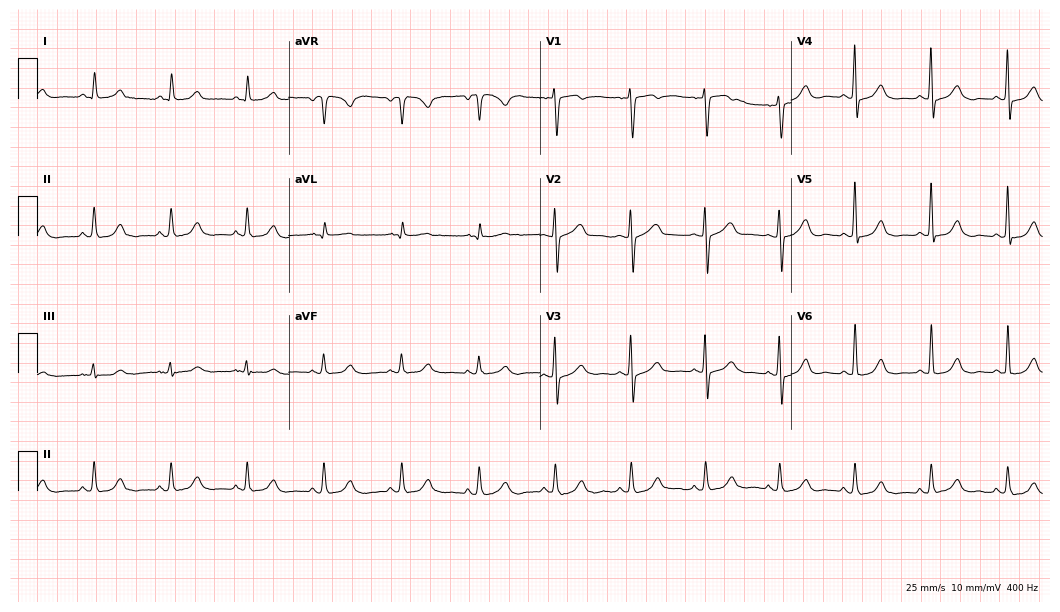
Resting 12-lead electrocardiogram. Patient: a female, 73 years old. Read as a normal ECG.